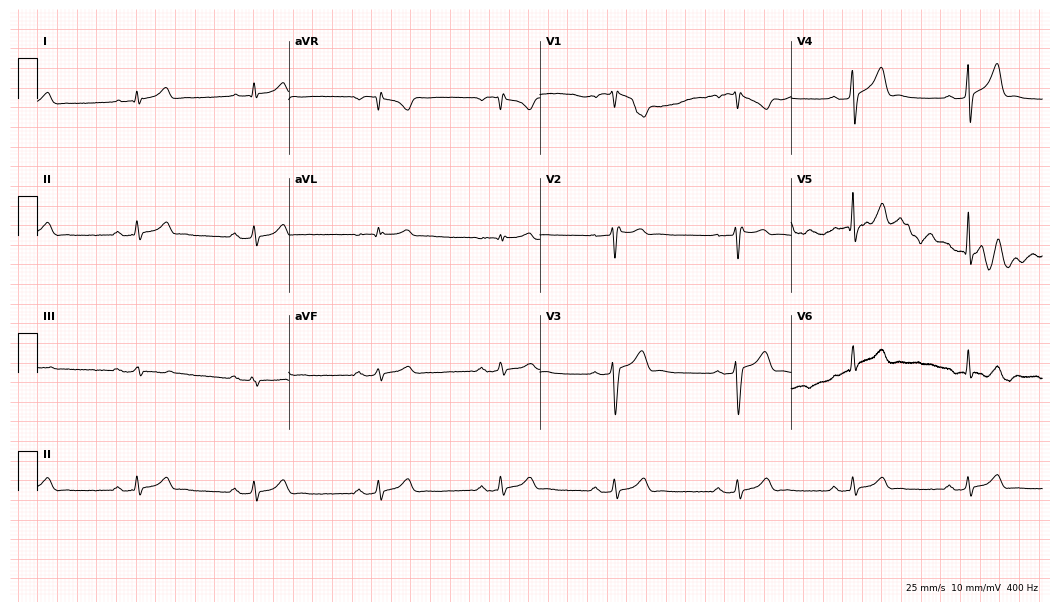
ECG — a male patient, 34 years old. Findings include first-degree AV block, sinus bradycardia (a sinus rate of 50 beats per minute or less).